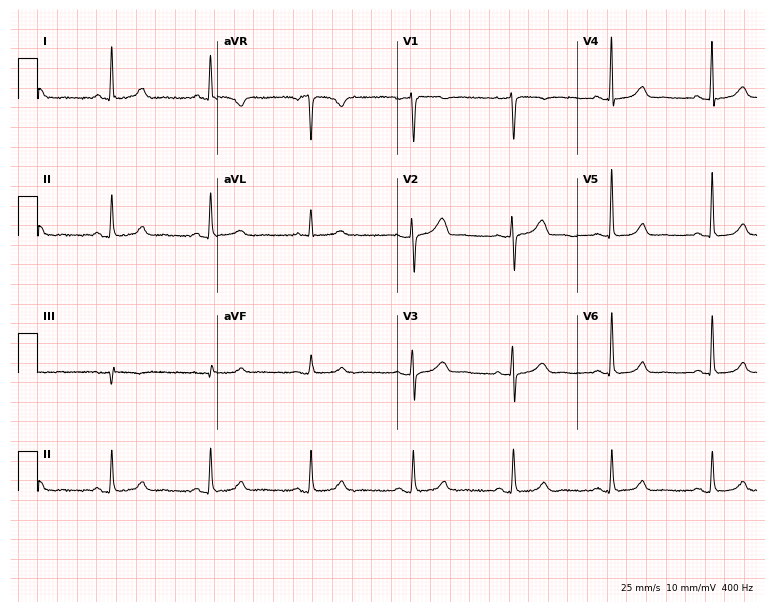
Resting 12-lead electrocardiogram. Patient: a female, 60 years old. Read as a normal ECG.